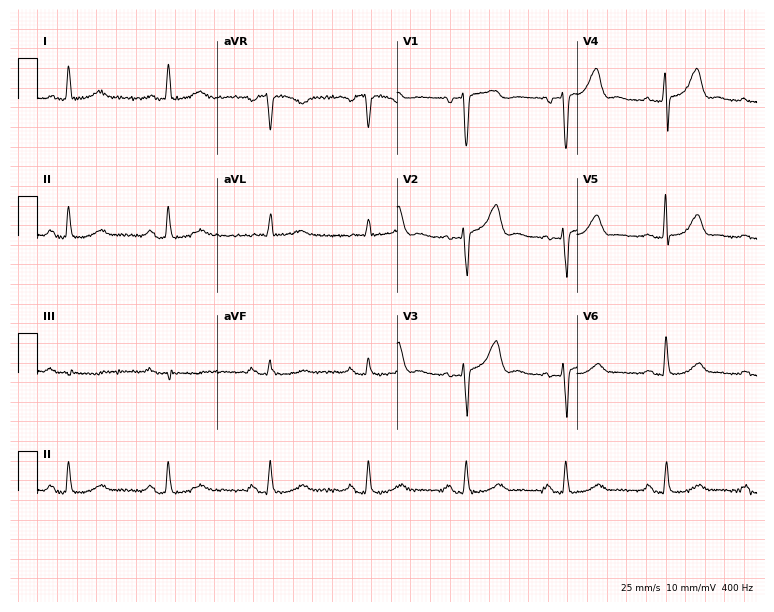
ECG — an 81-year-old female. Screened for six findings — first-degree AV block, right bundle branch block, left bundle branch block, sinus bradycardia, atrial fibrillation, sinus tachycardia — none is recorded.